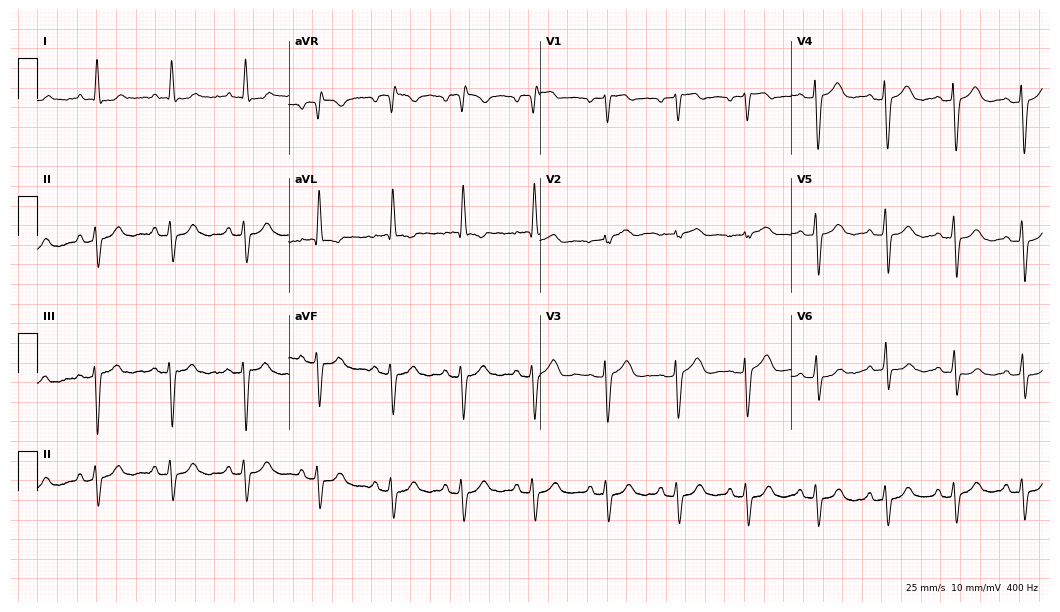
12-lead ECG from a female patient, 82 years old. No first-degree AV block, right bundle branch block, left bundle branch block, sinus bradycardia, atrial fibrillation or sinus tachycardia recorded for this tracing.